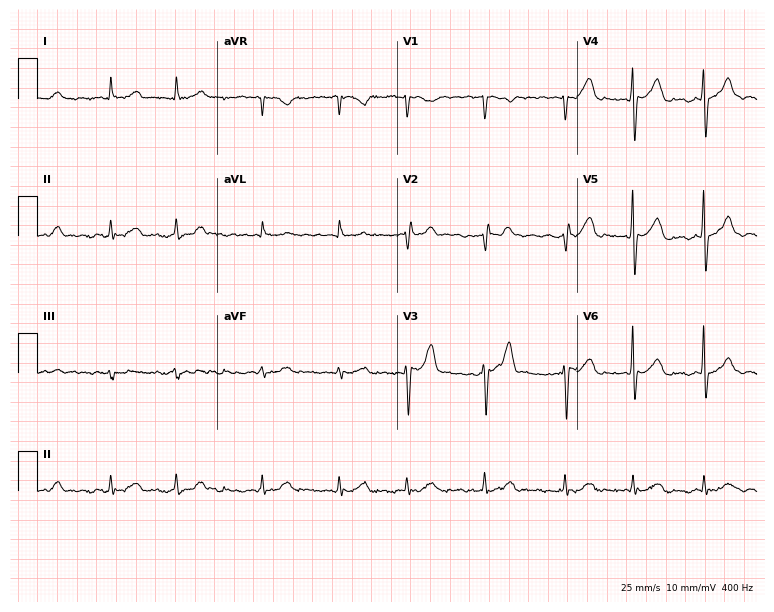
12-lead ECG from a man, 87 years old (7.3-second recording at 400 Hz). No first-degree AV block, right bundle branch block, left bundle branch block, sinus bradycardia, atrial fibrillation or sinus tachycardia recorded for this tracing. Only these six findings were labelled.